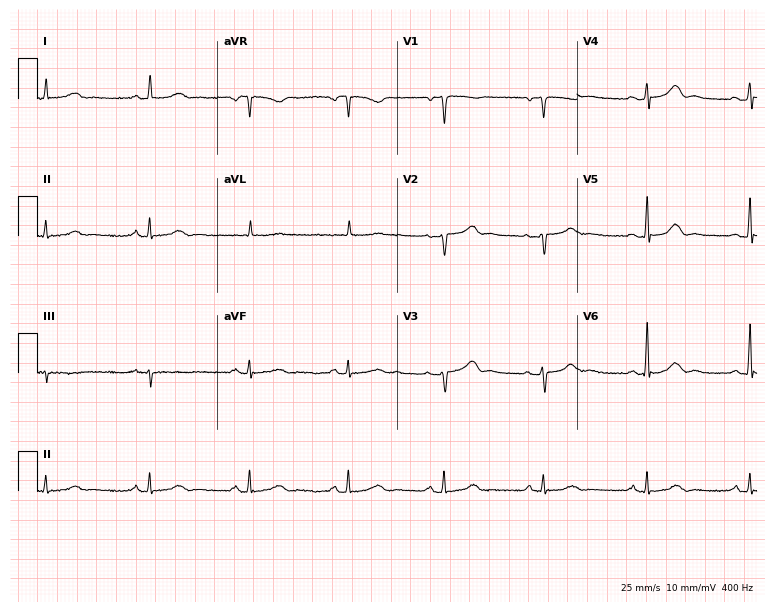
Standard 12-lead ECG recorded from a 67-year-old male patient. Read as a normal ECG.